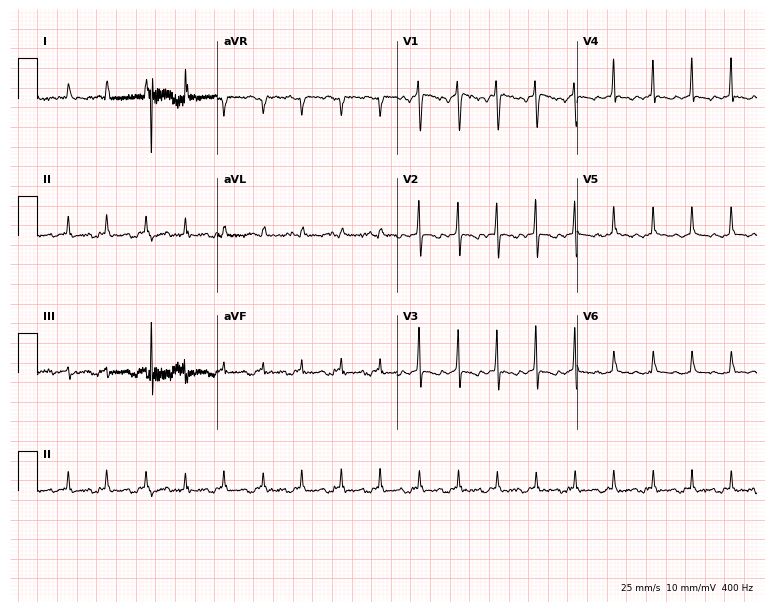
ECG (7.3-second recording at 400 Hz) — a 62-year-old female. Screened for six findings — first-degree AV block, right bundle branch block, left bundle branch block, sinus bradycardia, atrial fibrillation, sinus tachycardia — none is recorded.